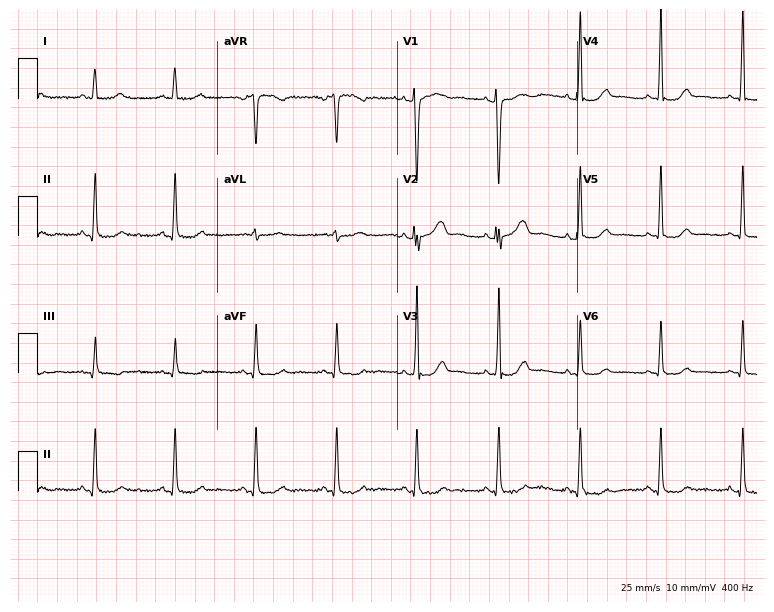
12-lead ECG (7.3-second recording at 400 Hz) from a 47-year-old male patient. Screened for six findings — first-degree AV block, right bundle branch block (RBBB), left bundle branch block (LBBB), sinus bradycardia, atrial fibrillation (AF), sinus tachycardia — none is recorded.